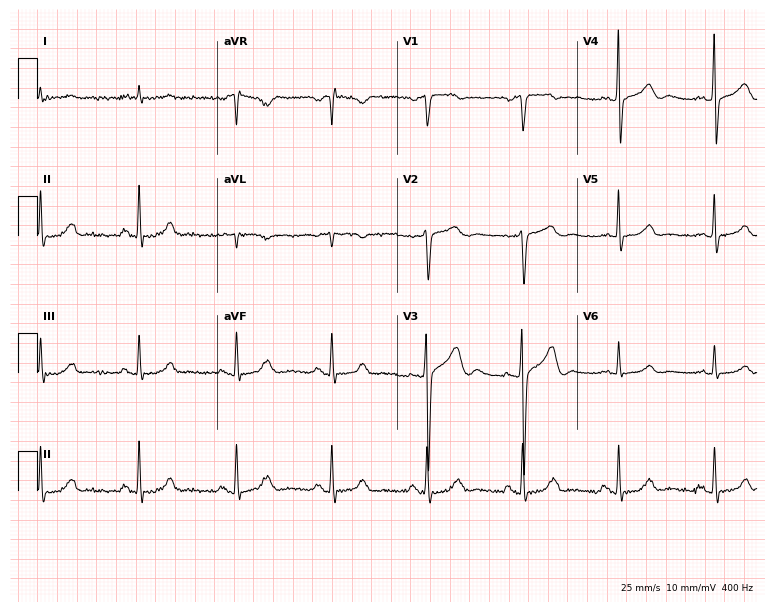
12-lead ECG from a 64-year-old man (7.3-second recording at 400 Hz). Recorded interpretation: within normal limits.